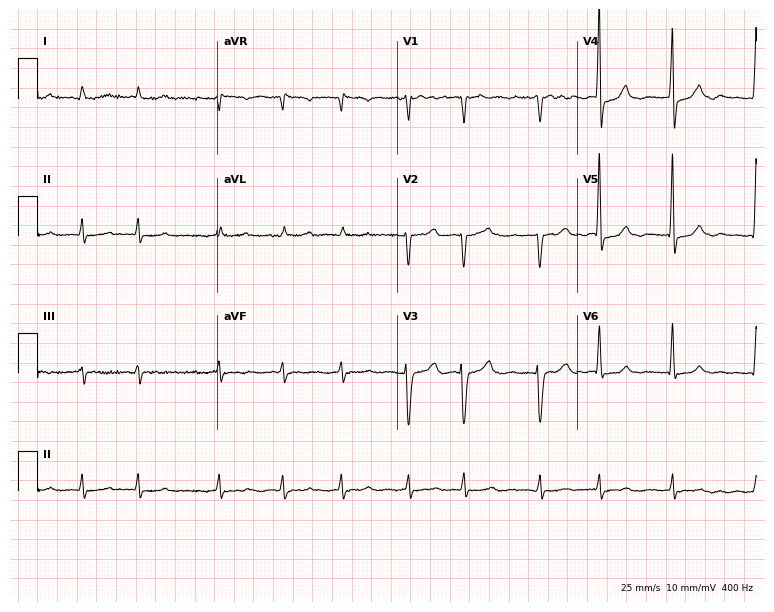
ECG — a male patient, 57 years old. Findings include atrial fibrillation (AF).